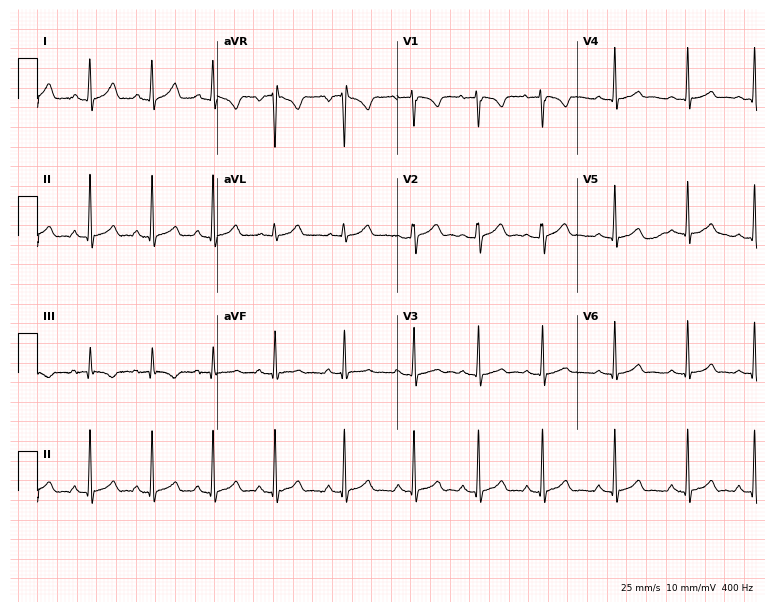
12-lead ECG (7.3-second recording at 400 Hz) from a woman, 20 years old. Labelled as a normal ECG.